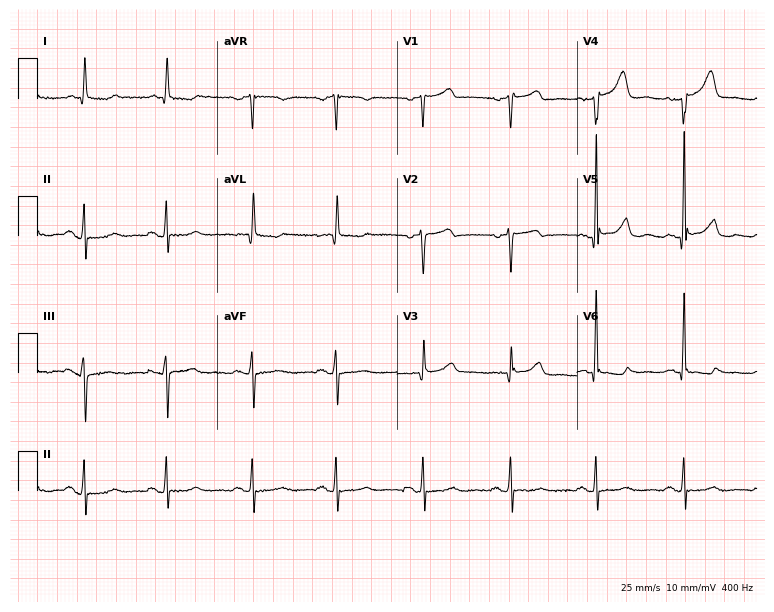
Resting 12-lead electrocardiogram. Patient: an 80-year-old female. None of these six findings is recorded: first-degree AV block, right bundle branch block, left bundle branch block, sinus bradycardia, atrial fibrillation, sinus tachycardia.